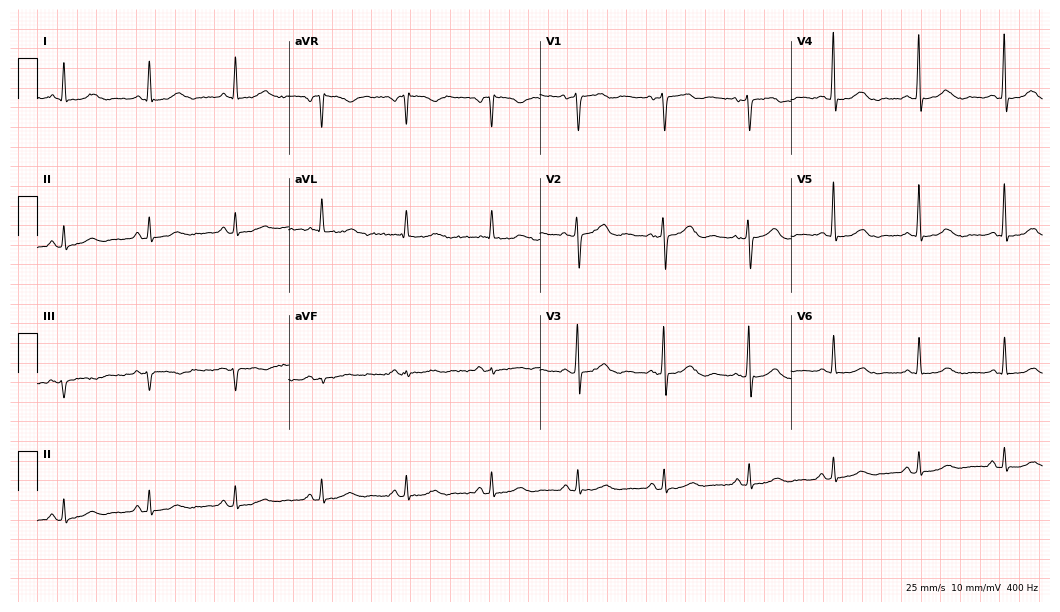
Standard 12-lead ECG recorded from a female, 77 years old. None of these six findings is recorded: first-degree AV block, right bundle branch block, left bundle branch block, sinus bradycardia, atrial fibrillation, sinus tachycardia.